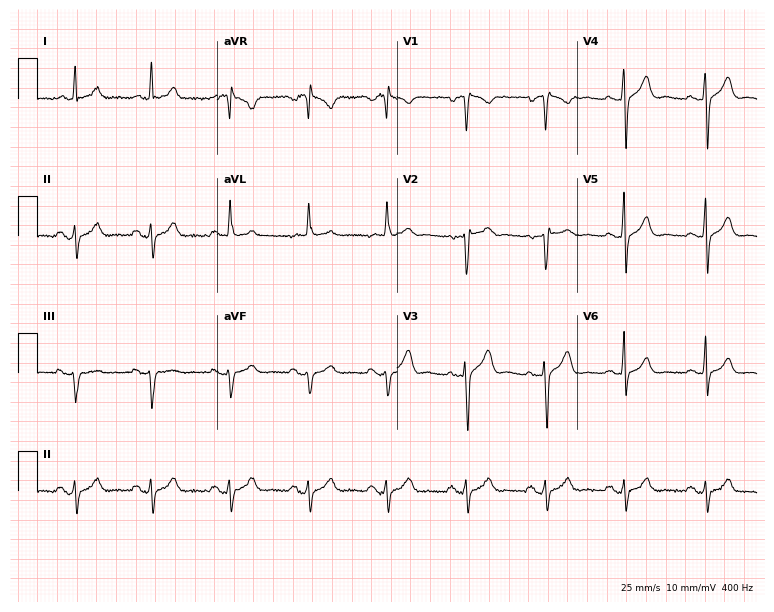
12-lead ECG (7.3-second recording at 400 Hz) from a 58-year-old male patient. Screened for six findings — first-degree AV block, right bundle branch block, left bundle branch block, sinus bradycardia, atrial fibrillation, sinus tachycardia — none is recorded. Findings outside these six are not listed.